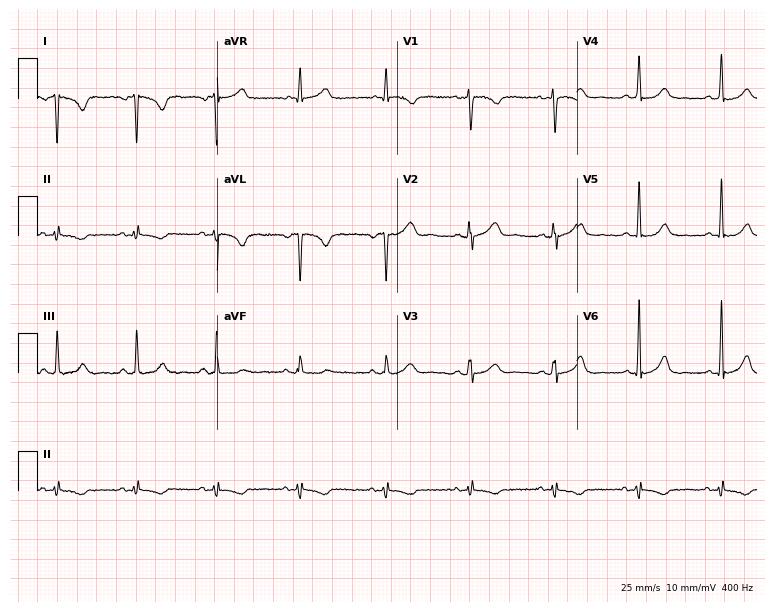
Standard 12-lead ECG recorded from a female patient, 39 years old. None of these six findings is recorded: first-degree AV block, right bundle branch block, left bundle branch block, sinus bradycardia, atrial fibrillation, sinus tachycardia.